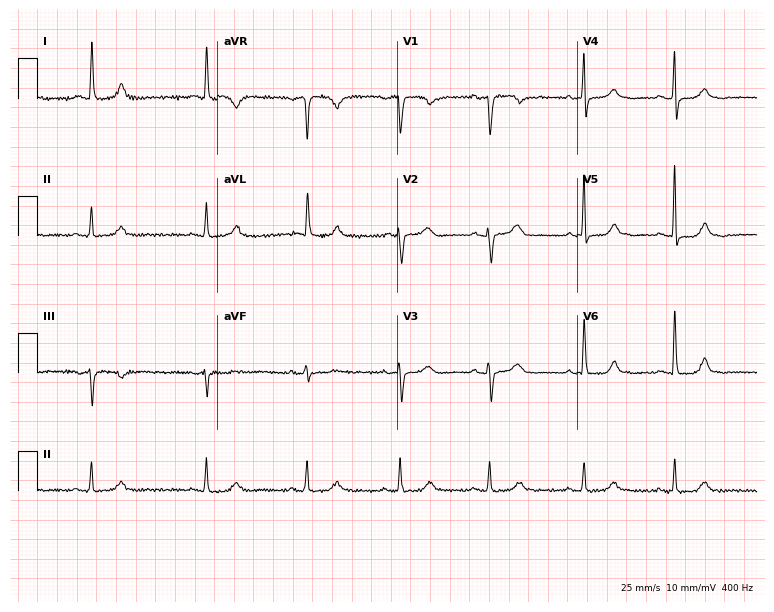
Resting 12-lead electrocardiogram. Patient: a female, 79 years old. None of these six findings is recorded: first-degree AV block, right bundle branch block, left bundle branch block, sinus bradycardia, atrial fibrillation, sinus tachycardia. Only these six findings were labelled.